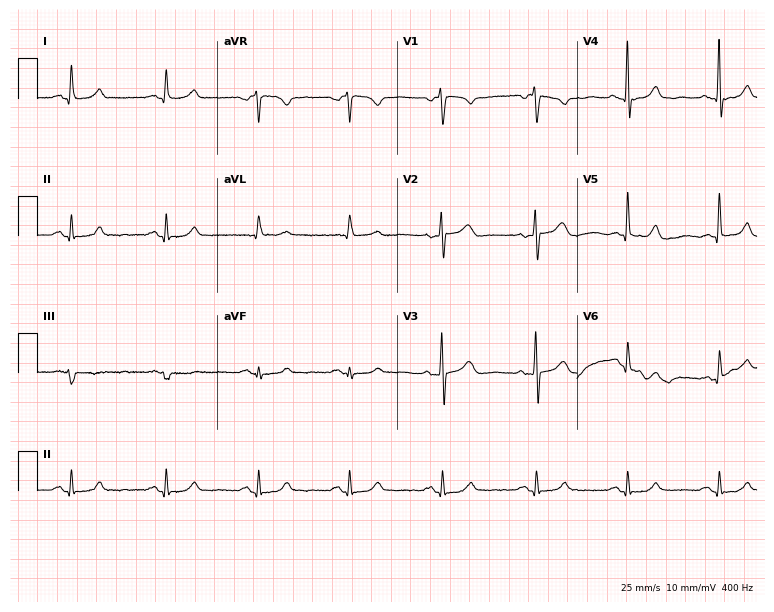
12-lead ECG (7.3-second recording at 400 Hz) from a woman, 65 years old. Screened for six findings — first-degree AV block, right bundle branch block, left bundle branch block, sinus bradycardia, atrial fibrillation, sinus tachycardia — none is recorded. Only these six findings were labelled.